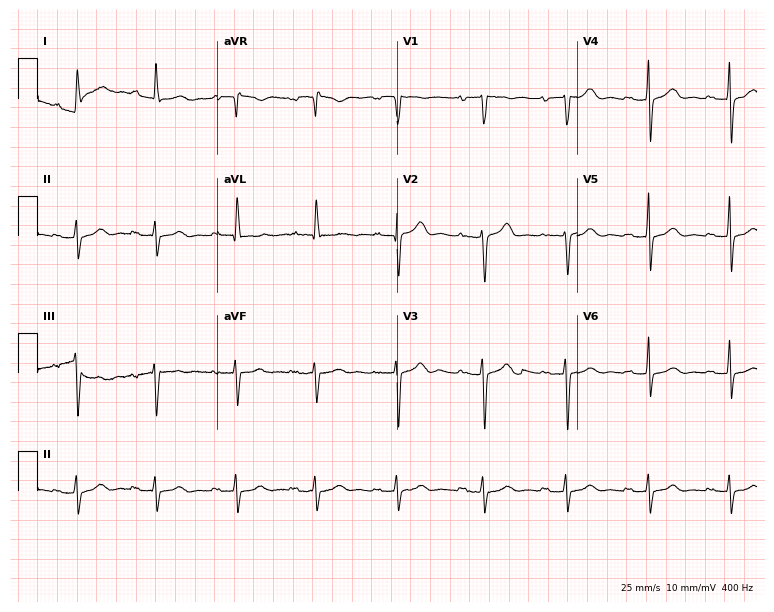
12-lead ECG (7.3-second recording at 400 Hz) from a female, 75 years old. Screened for six findings — first-degree AV block, right bundle branch block, left bundle branch block, sinus bradycardia, atrial fibrillation, sinus tachycardia — none is recorded.